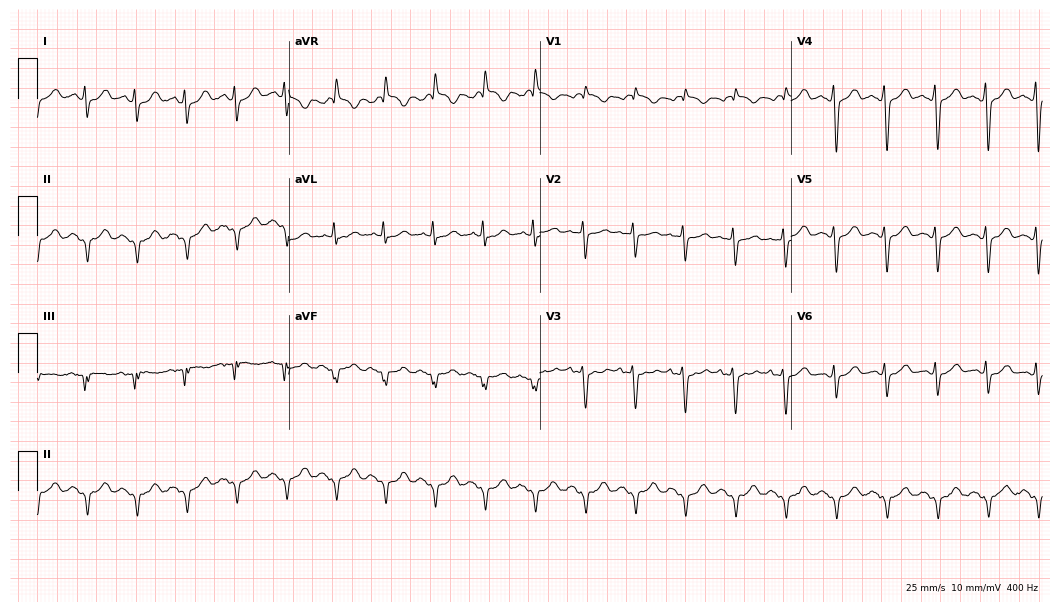
Resting 12-lead electrocardiogram. Patient: a female, 61 years old. None of these six findings is recorded: first-degree AV block, right bundle branch block, left bundle branch block, sinus bradycardia, atrial fibrillation, sinus tachycardia. Findings outside these six are not listed.